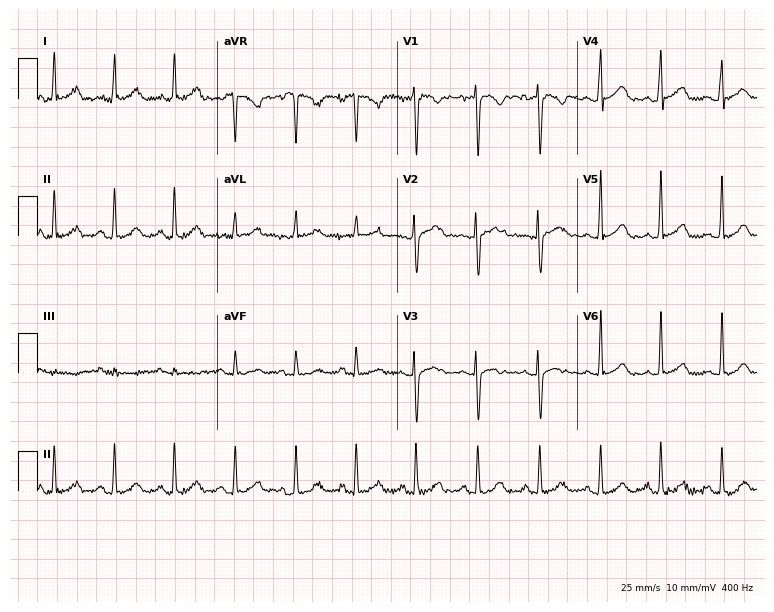
ECG (7.3-second recording at 400 Hz) — a female patient, 23 years old. Labelled as a normal ECG.